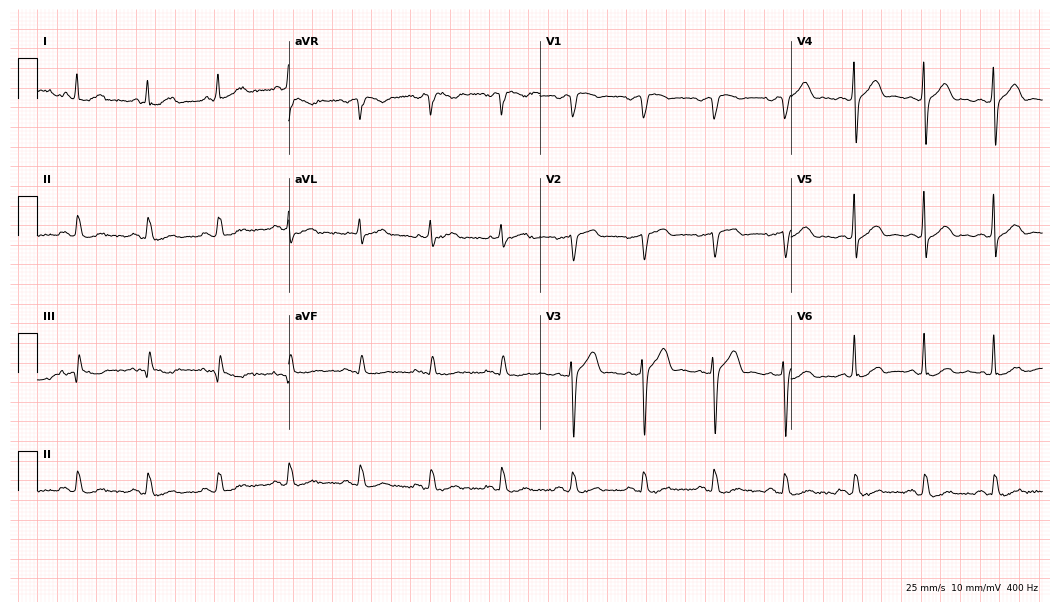
ECG (10.2-second recording at 400 Hz) — a 79-year-old male. Labelled as a normal ECG.